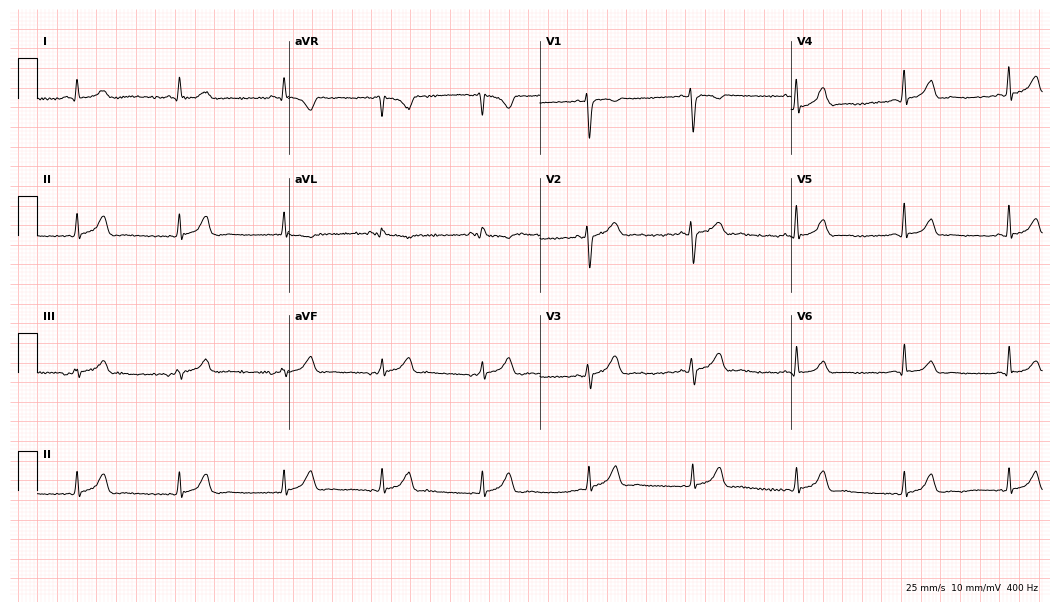
Electrocardiogram (10.2-second recording at 400 Hz), a 35-year-old female patient. Overall reading on record: normal ECG.